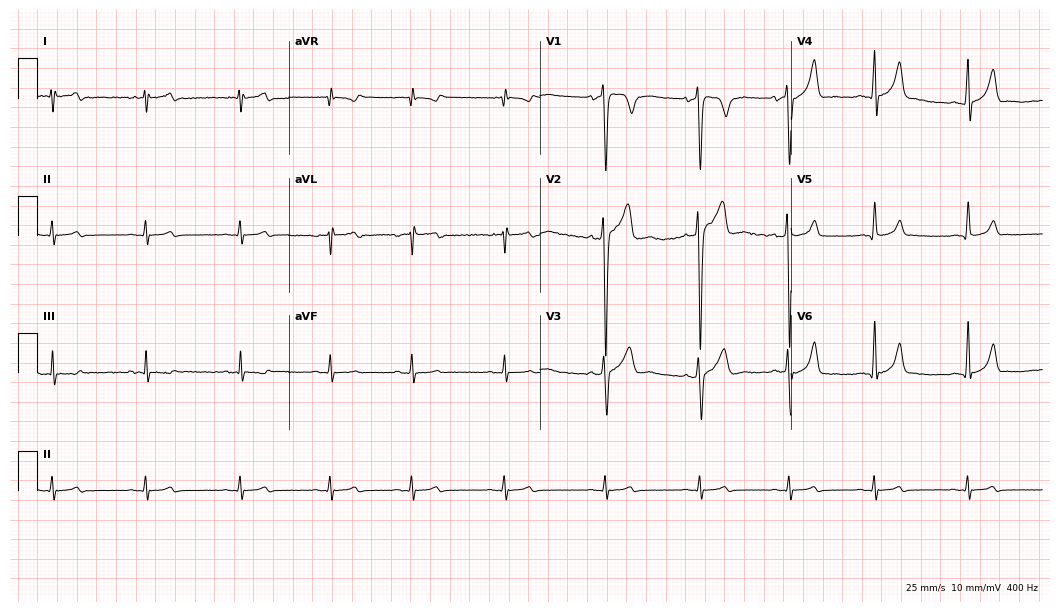
12-lead ECG from a 17-year-old male. Screened for six findings — first-degree AV block, right bundle branch block, left bundle branch block, sinus bradycardia, atrial fibrillation, sinus tachycardia — none is recorded.